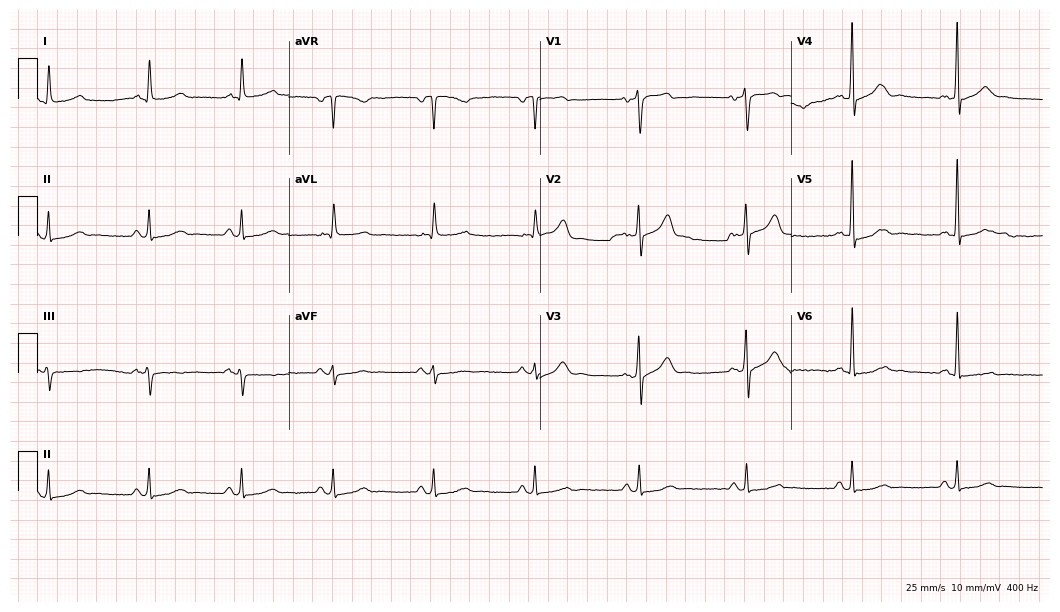
12-lead ECG from a male patient, 60 years old. Labelled as a normal ECG.